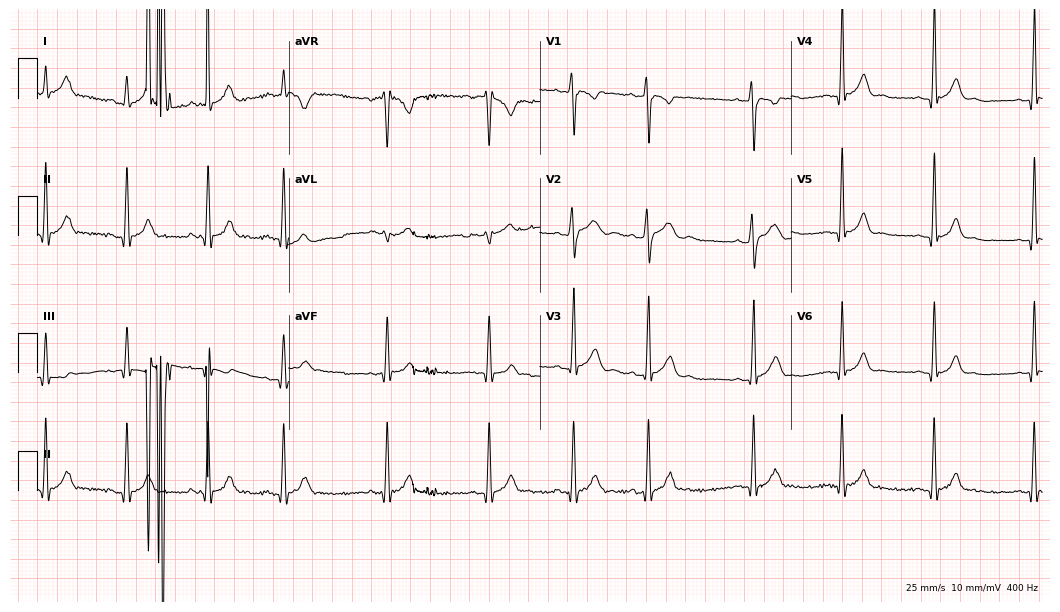
Resting 12-lead electrocardiogram (10.2-second recording at 400 Hz). Patient: a man, 19 years old. None of these six findings is recorded: first-degree AV block, right bundle branch block, left bundle branch block, sinus bradycardia, atrial fibrillation, sinus tachycardia.